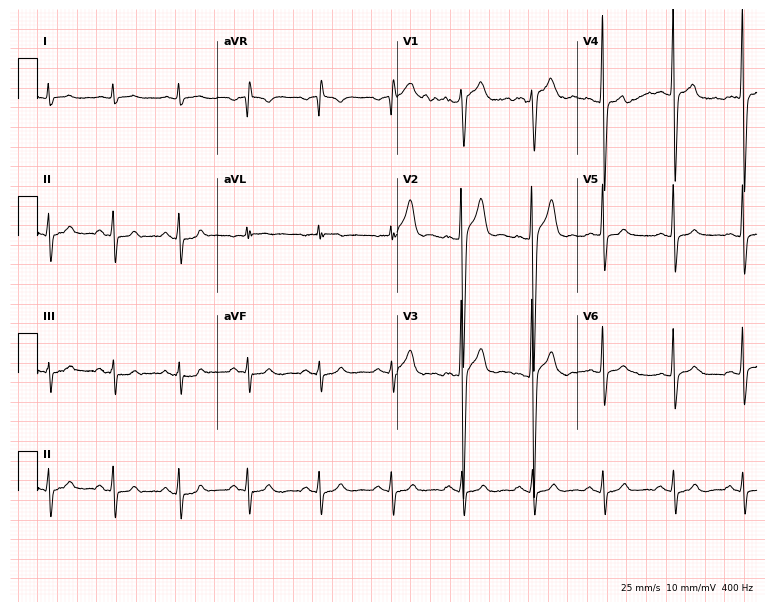
ECG — a man, 23 years old. Screened for six findings — first-degree AV block, right bundle branch block, left bundle branch block, sinus bradycardia, atrial fibrillation, sinus tachycardia — none is recorded.